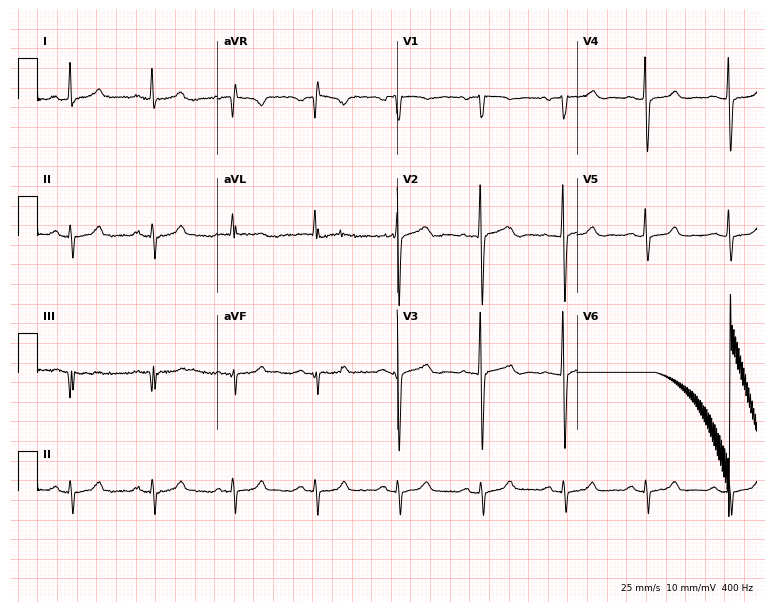
Electrocardiogram, a 55-year-old female. Of the six screened findings (first-degree AV block, right bundle branch block (RBBB), left bundle branch block (LBBB), sinus bradycardia, atrial fibrillation (AF), sinus tachycardia), none is recorded.